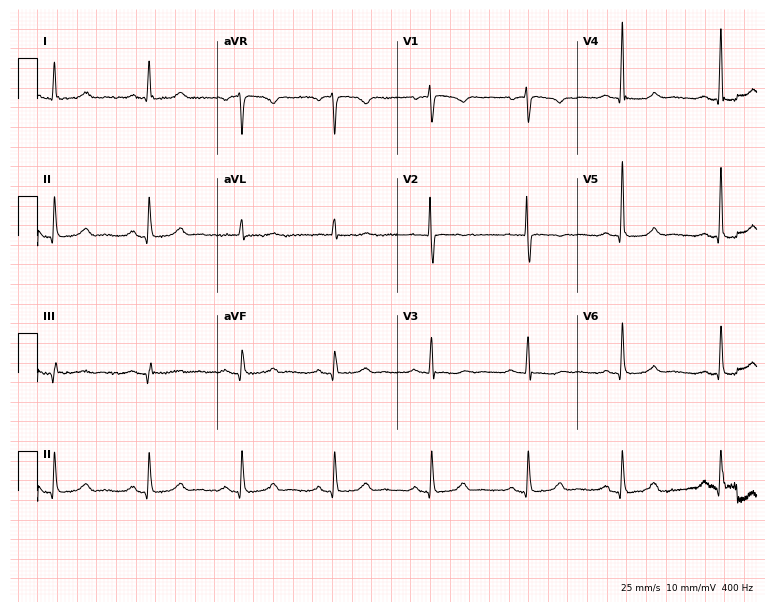
Standard 12-lead ECG recorded from a 59-year-old female. Read as a normal ECG.